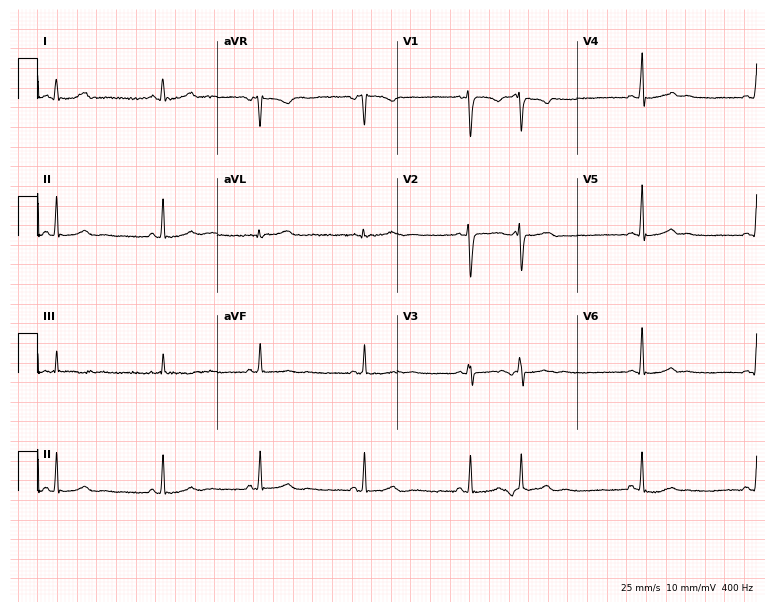
ECG — a female, 18 years old. Screened for six findings — first-degree AV block, right bundle branch block, left bundle branch block, sinus bradycardia, atrial fibrillation, sinus tachycardia — none is recorded.